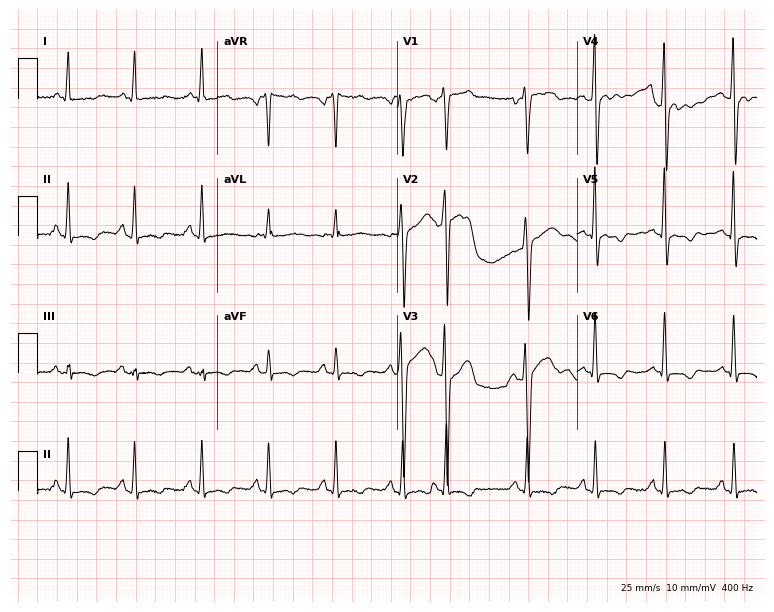
12-lead ECG from a 44-year-old man. Screened for six findings — first-degree AV block, right bundle branch block, left bundle branch block, sinus bradycardia, atrial fibrillation, sinus tachycardia — none is recorded.